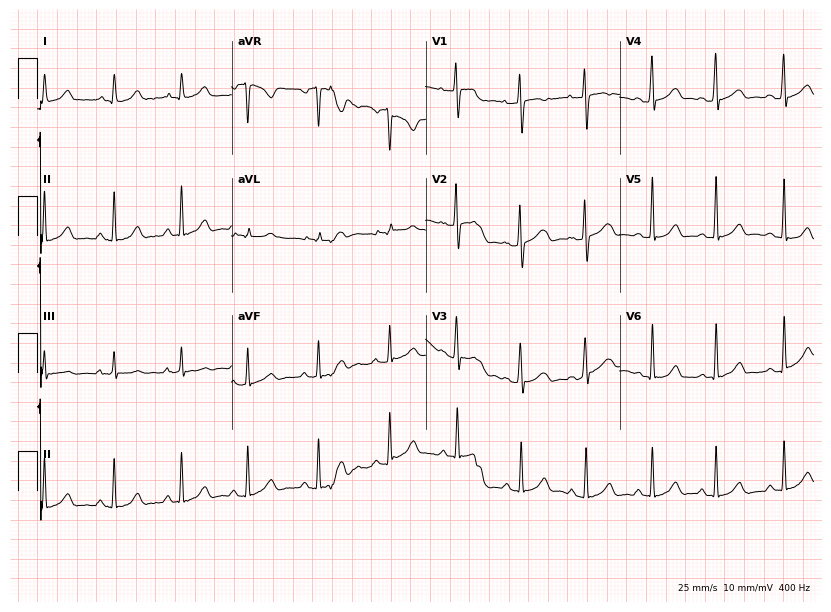
Standard 12-lead ECG recorded from a female patient, 25 years old. Read as a normal ECG.